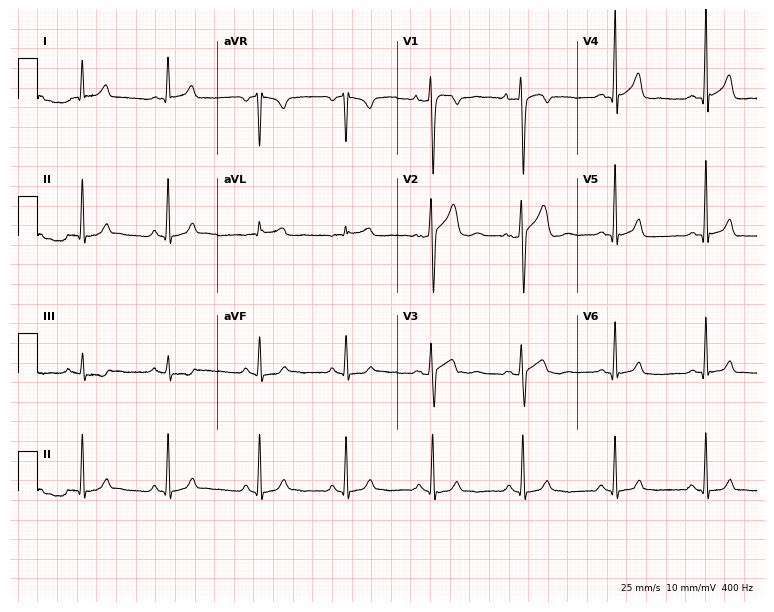
Standard 12-lead ECG recorded from a 24-year-old male patient (7.3-second recording at 400 Hz). Read as a normal ECG.